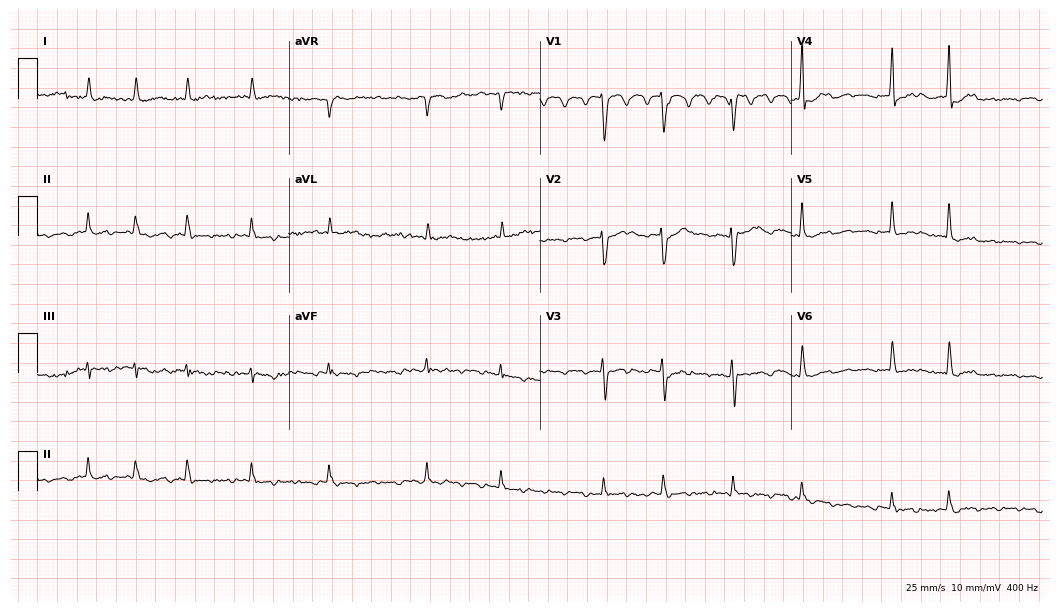
Resting 12-lead electrocardiogram. Patient: an 85-year-old woman. The tracing shows atrial fibrillation.